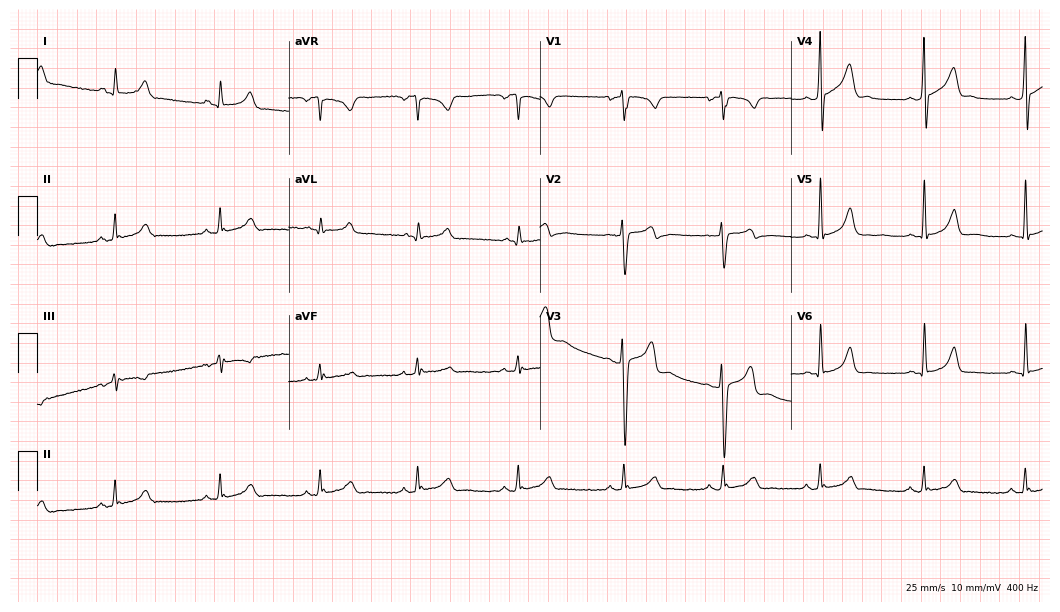
12-lead ECG (10.2-second recording at 400 Hz) from a 22-year-old man. Screened for six findings — first-degree AV block, right bundle branch block, left bundle branch block, sinus bradycardia, atrial fibrillation, sinus tachycardia — none is recorded.